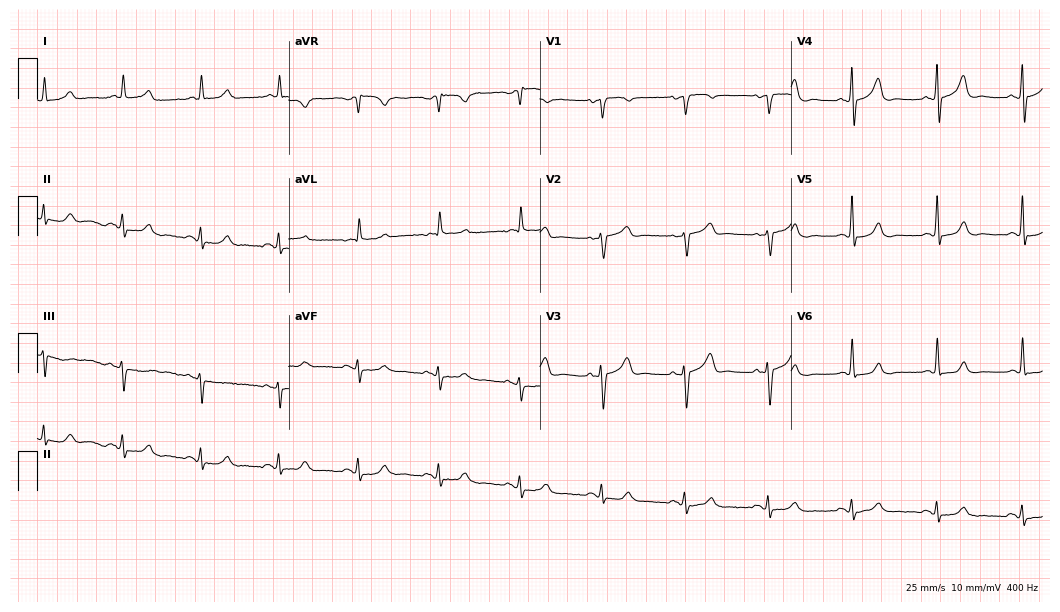
12-lead ECG from an 80-year-old male (10.2-second recording at 400 Hz). Recorded interpretation: within normal limits.